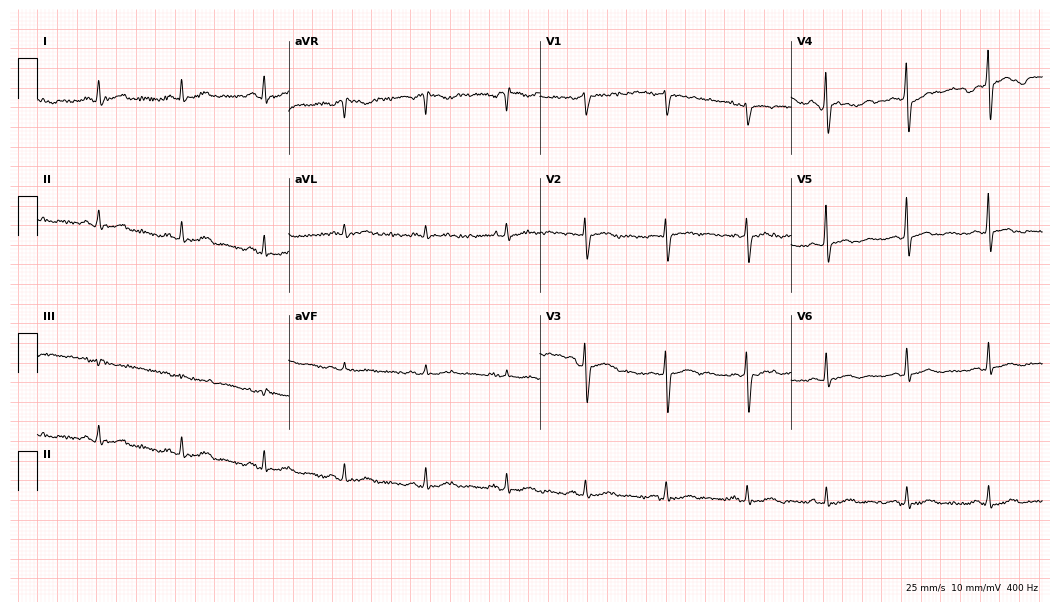
ECG — a male patient, 67 years old. Screened for six findings — first-degree AV block, right bundle branch block, left bundle branch block, sinus bradycardia, atrial fibrillation, sinus tachycardia — none is recorded. Only these six findings were labelled.